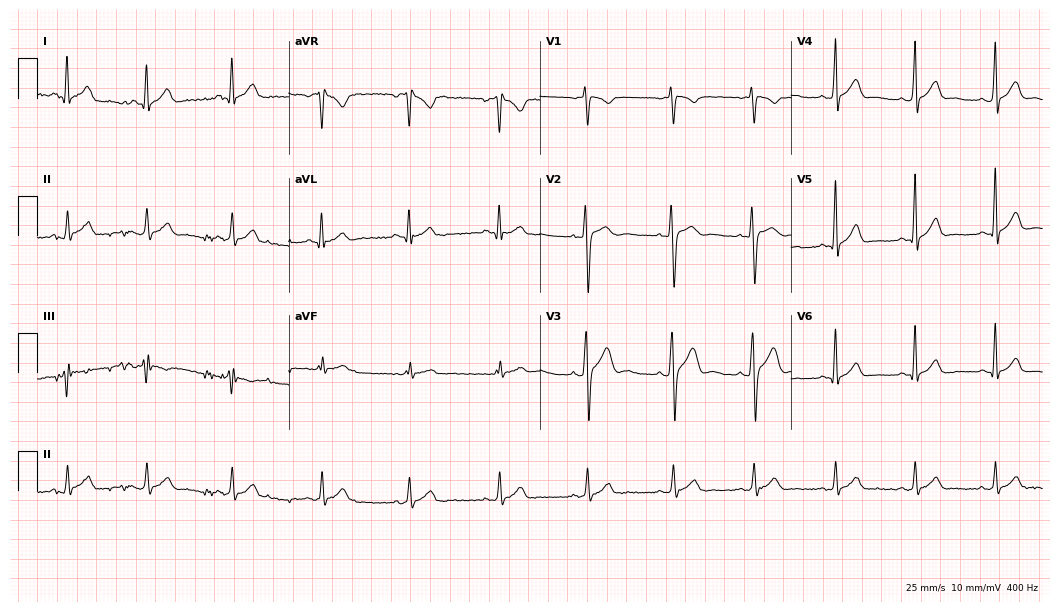
Electrocardiogram, a man, 27 years old. Overall reading on record: normal ECG.